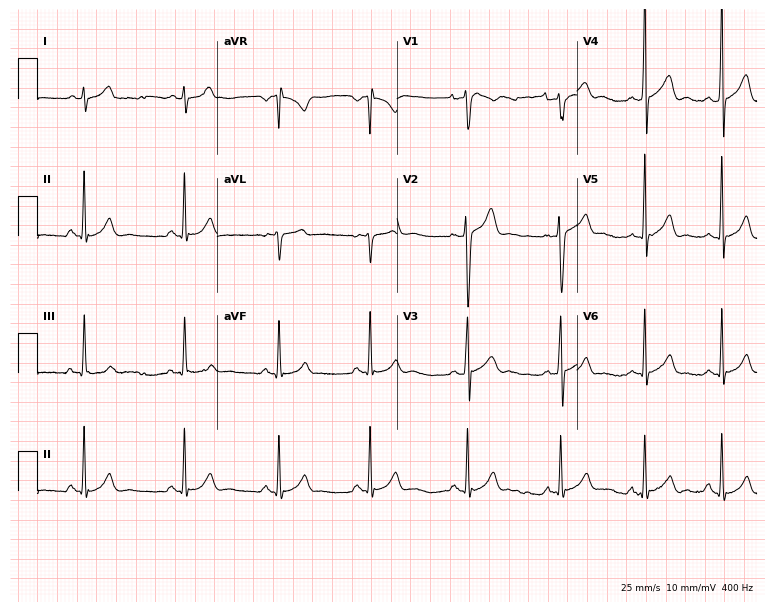
Standard 12-lead ECG recorded from a 20-year-old man. Read as a normal ECG.